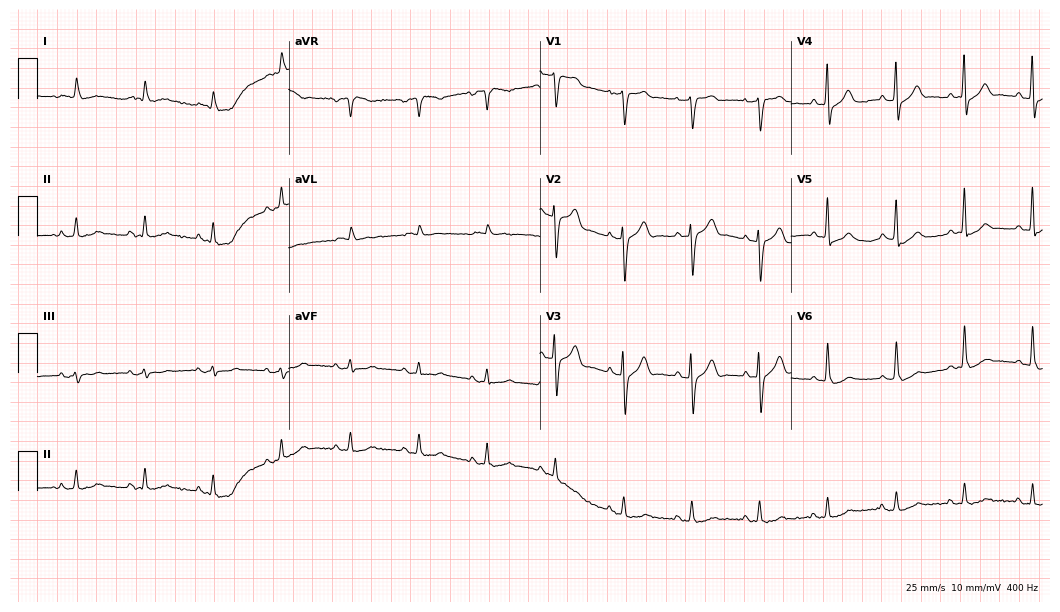
Electrocardiogram (10.2-second recording at 400 Hz), a woman, 72 years old. Of the six screened findings (first-degree AV block, right bundle branch block (RBBB), left bundle branch block (LBBB), sinus bradycardia, atrial fibrillation (AF), sinus tachycardia), none is recorded.